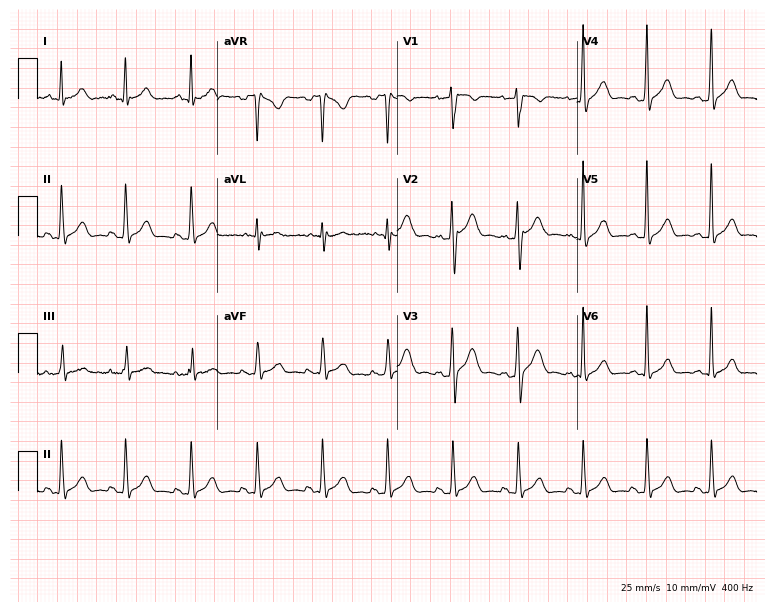
Electrocardiogram, a 36-year-old male patient. Overall reading on record: normal ECG.